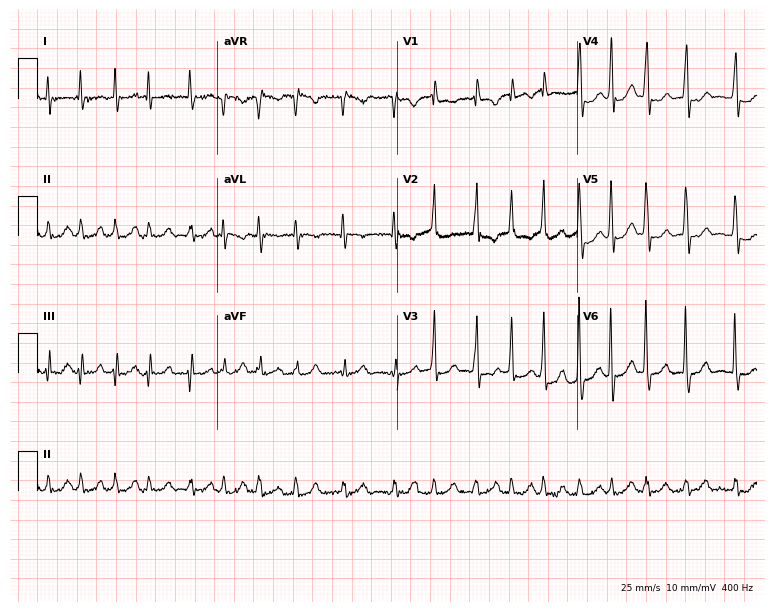
12-lead ECG from a female patient, 64 years old. No first-degree AV block, right bundle branch block, left bundle branch block, sinus bradycardia, atrial fibrillation or sinus tachycardia recorded for this tracing. Findings outside these six are not listed.